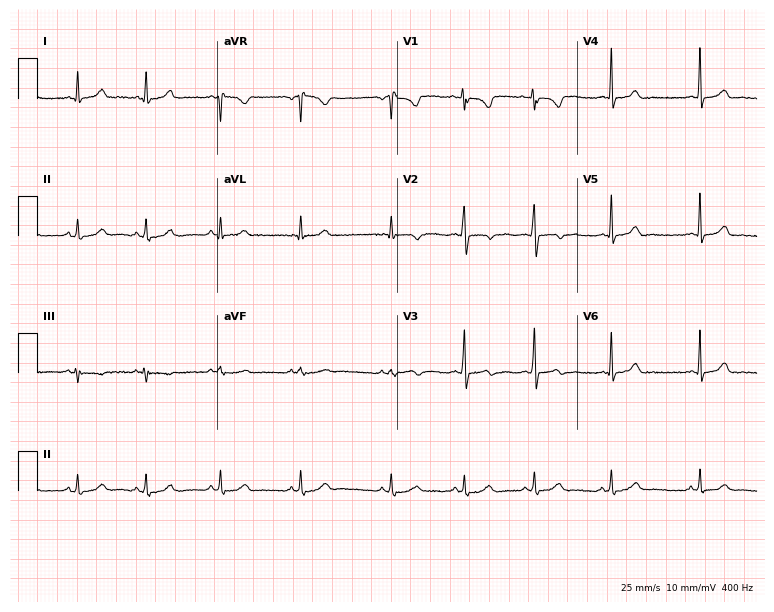
12-lead ECG from a 26-year-old woman. No first-degree AV block, right bundle branch block, left bundle branch block, sinus bradycardia, atrial fibrillation or sinus tachycardia recorded for this tracing.